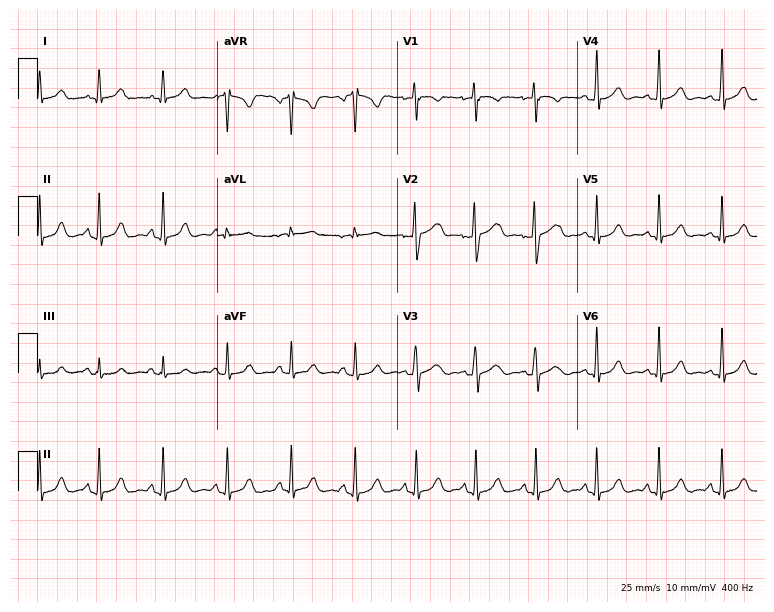
Resting 12-lead electrocardiogram. Patient: a 29-year-old woman. Read as a normal ECG.